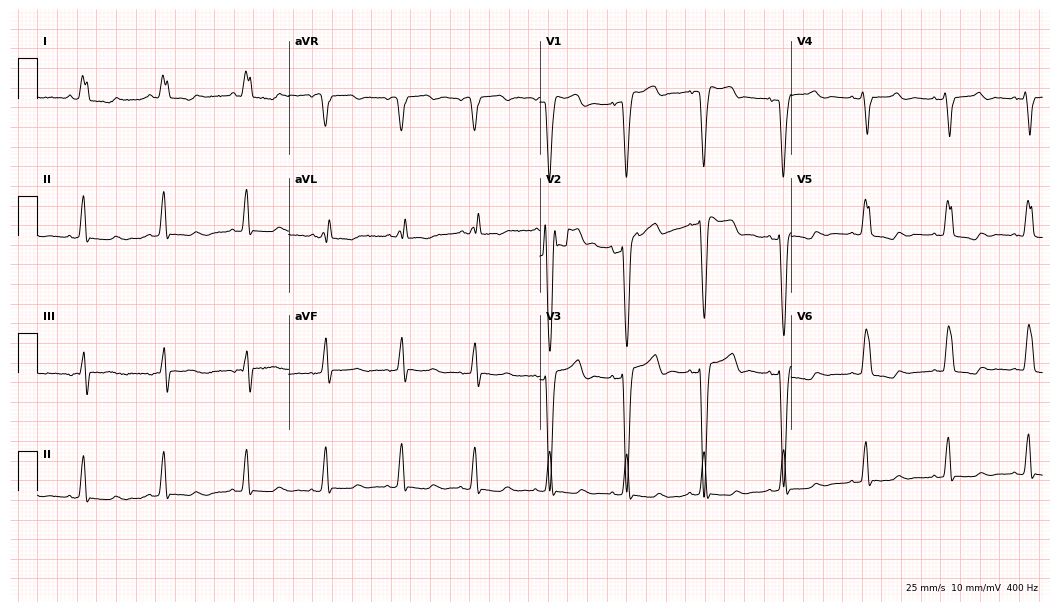
ECG — a female, 81 years old. Findings include left bundle branch block (LBBB).